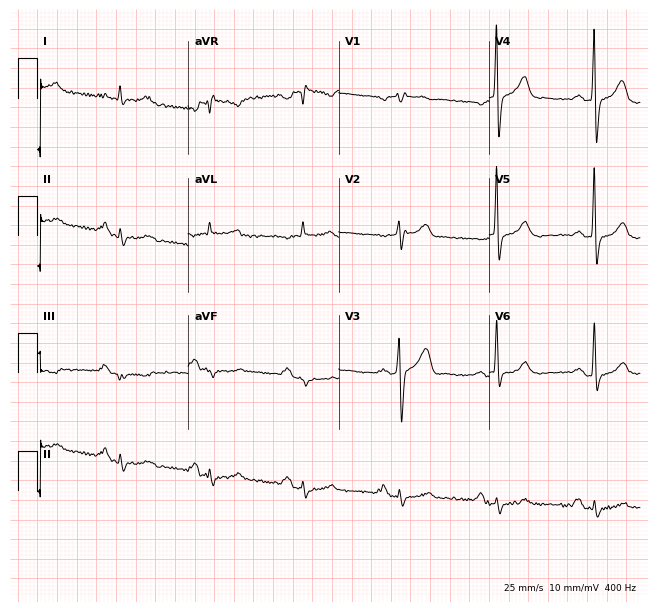
Standard 12-lead ECG recorded from a 60-year-old male (6.1-second recording at 400 Hz). None of these six findings is recorded: first-degree AV block, right bundle branch block (RBBB), left bundle branch block (LBBB), sinus bradycardia, atrial fibrillation (AF), sinus tachycardia. Other findings, if any, are not listed.